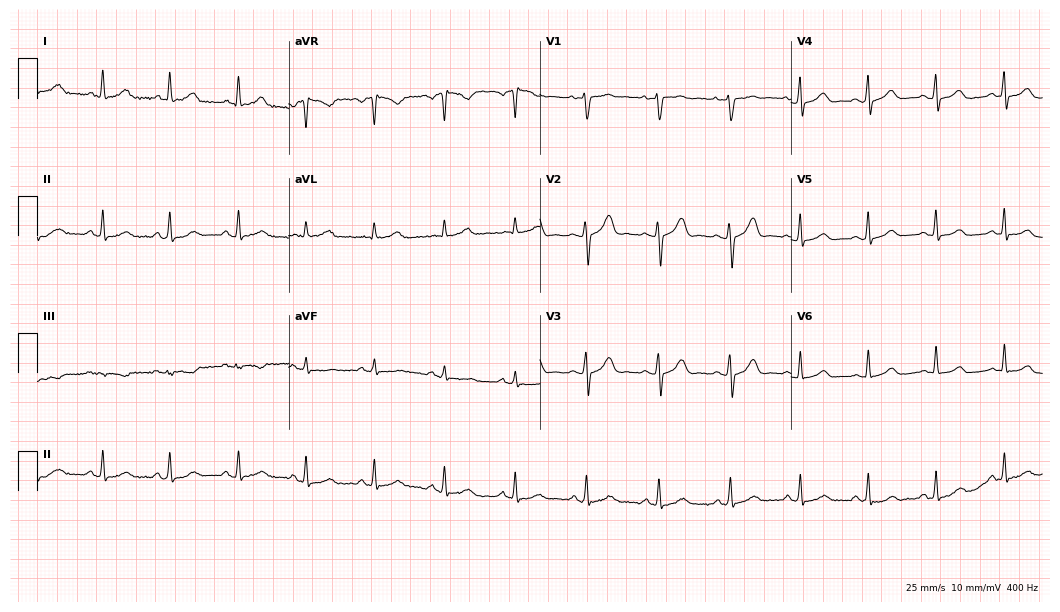
Resting 12-lead electrocardiogram (10.2-second recording at 400 Hz). Patient: a female, 45 years old. None of these six findings is recorded: first-degree AV block, right bundle branch block, left bundle branch block, sinus bradycardia, atrial fibrillation, sinus tachycardia.